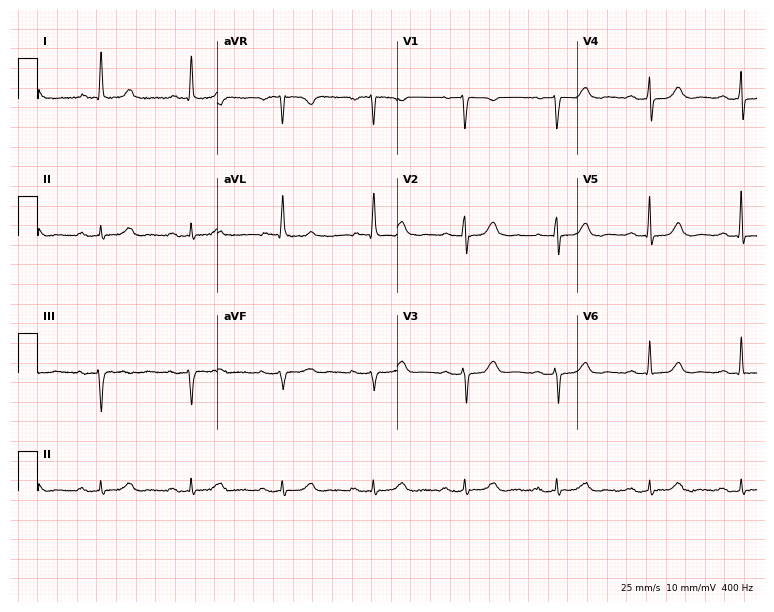
Standard 12-lead ECG recorded from a female, 82 years old. Read as a normal ECG.